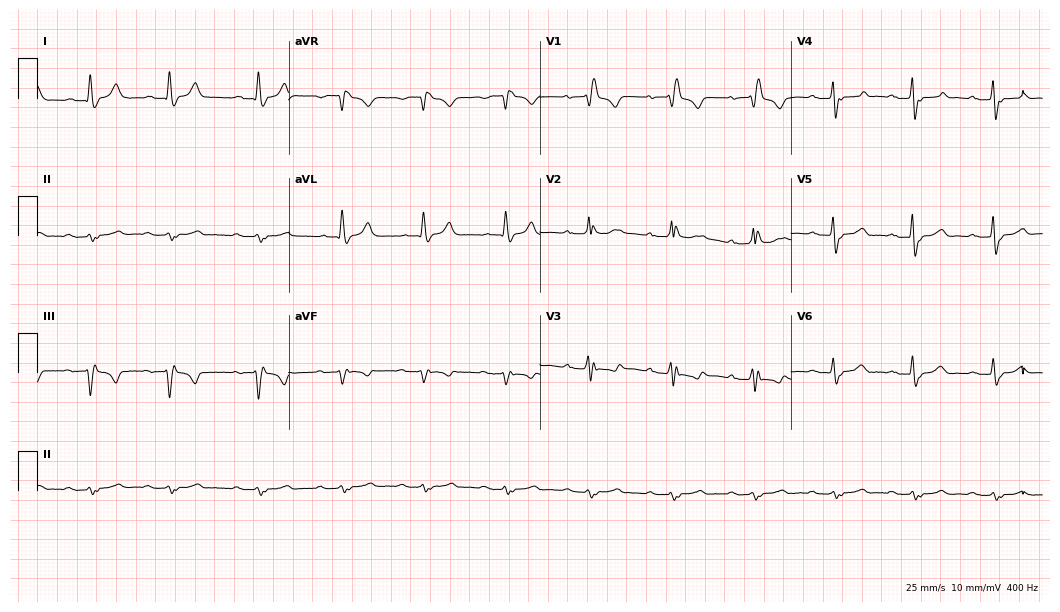
12-lead ECG from a male, 80 years old (10.2-second recording at 400 Hz). Shows first-degree AV block, right bundle branch block (RBBB).